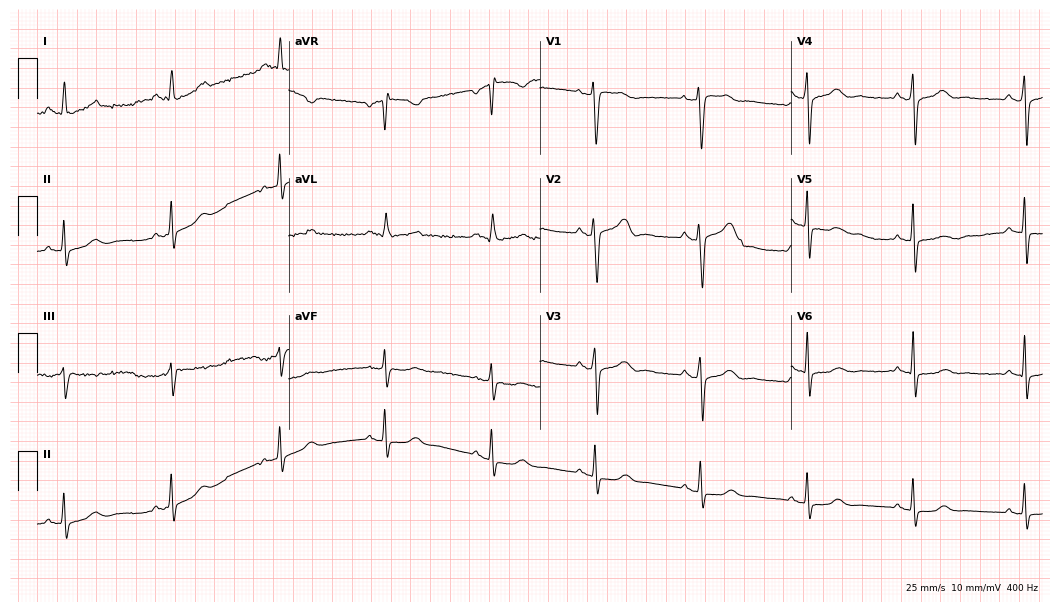
ECG — a female patient, 37 years old. Labelled as a normal ECG.